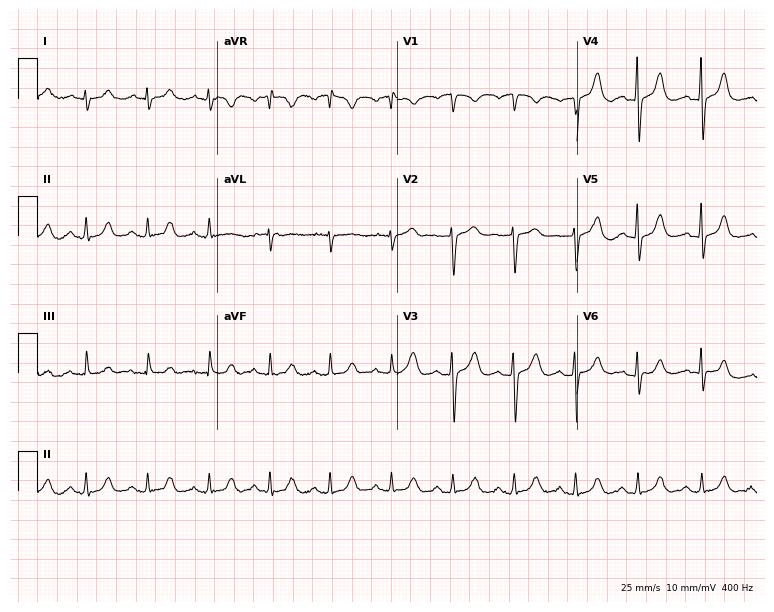
12-lead ECG (7.3-second recording at 400 Hz) from a 57-year-old woman. Labelled as a normal ECG.